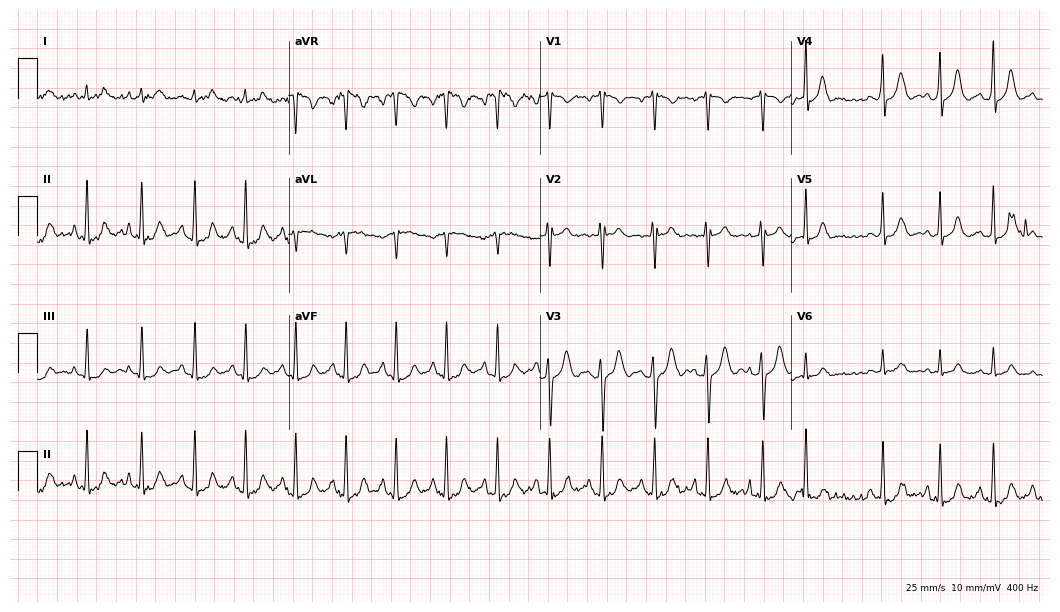
ECG (10.2-second recording at 400 Hz) — a 21-year-old female patient. Findings include sinus tachycardia (a sinus rate of 100 beats per minute or more).